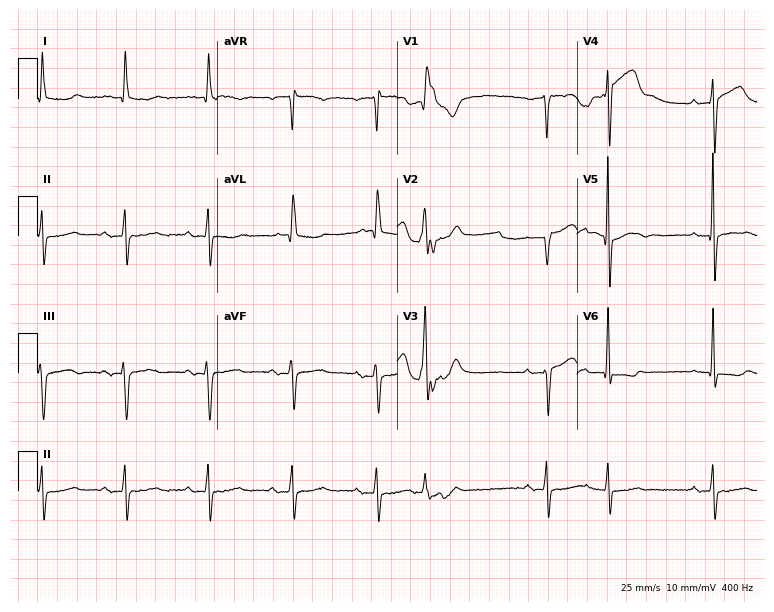
12-lead ECG from a 79-year-old man (7.3-second recording at 400 Hz). No first-degree AV block, right bundle branch block (RBBB), left bundle branch block (LBBB), sinus bradycardia, atrial fibrillation (AF) or sinus tachycardia recorded for this tracing.